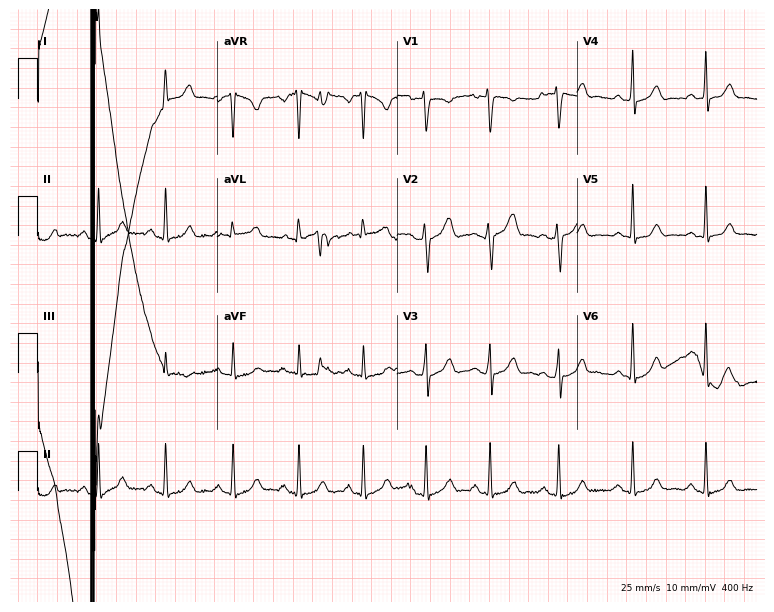
Electrocardiogram (7.3-second recording at 400 Hz), a woman, 19 years old. Of the six screened findings (first-degree AV block, right bundle branch block (RBBB), left bundle branch block (LBBB), sinus bradycardia, atrial fibrillation (AF), sinus tachycardia), none is recorded.